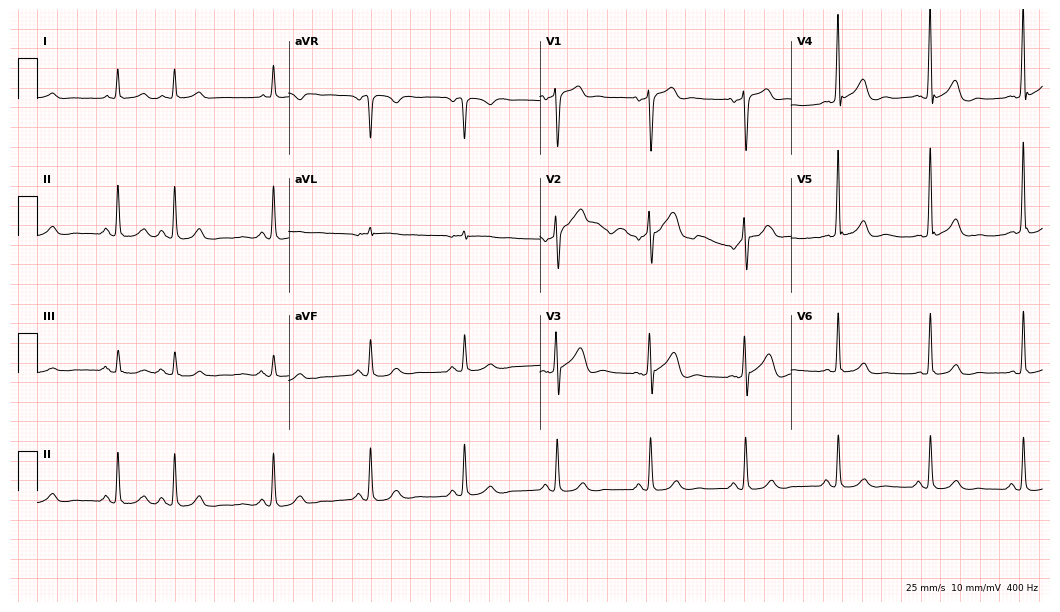
12-lead ECG from a 65-year-old man. Labelled as a normal ECG.